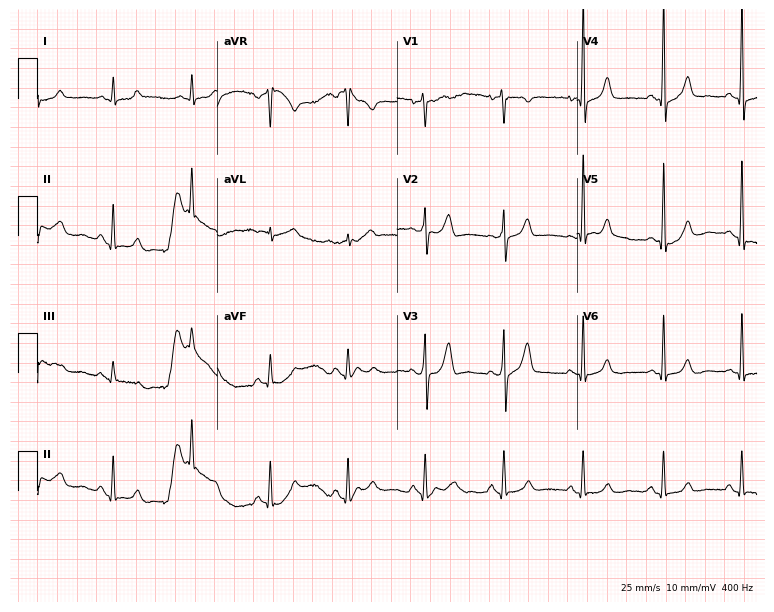
ECG — a 42-year-old man. Screened for six findings — first-degree AV block, right bundle branch block (RBBB), left bundle branch block (LBBB), sinus bradycardia, atrial fibrillation (AF), sinus tachycardia — none is recorded. Other findings, if any, are not listed.